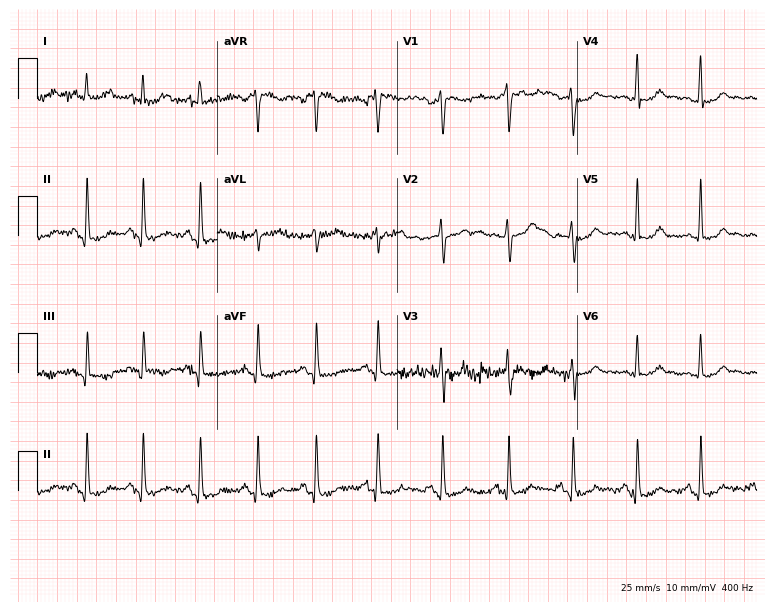
12-lead ECG from a female patient, 36 years old. Screened for six findings — first-degree AV block, right bundle branch block, left bundle branch block, sinus bradycardia, atrial fibrillation, sinus tachycardia — none is recorded. Findings outside these six are not listed.